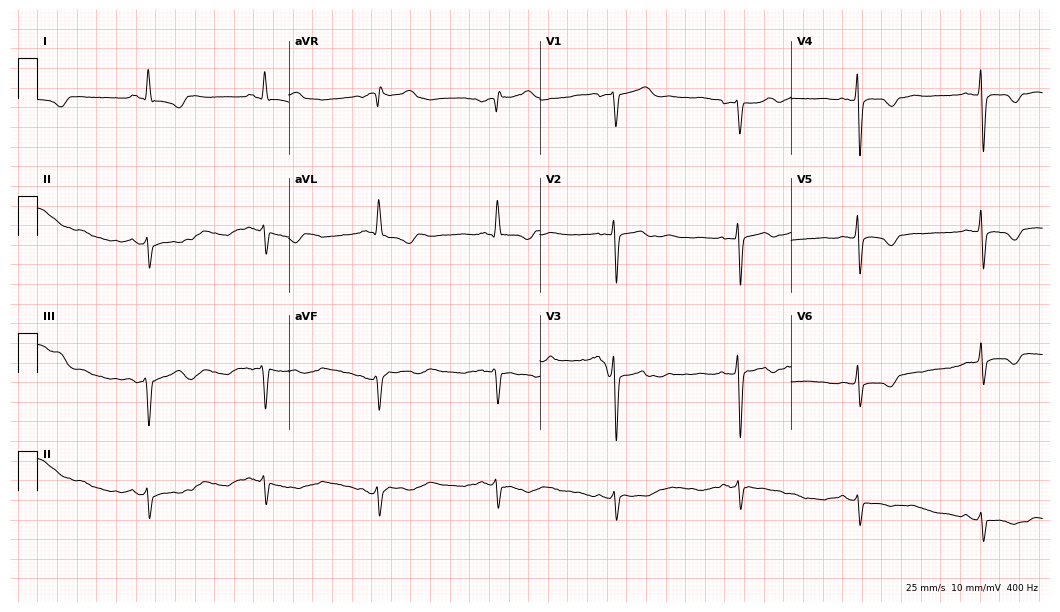
Resting 12-lead electrocardiogram. Patient: a woman, 53 years old. The tracing shows right bundle branch block, left bundle branch block, sinus bradycardia (a sinus rate of 50 beats per minute or less).